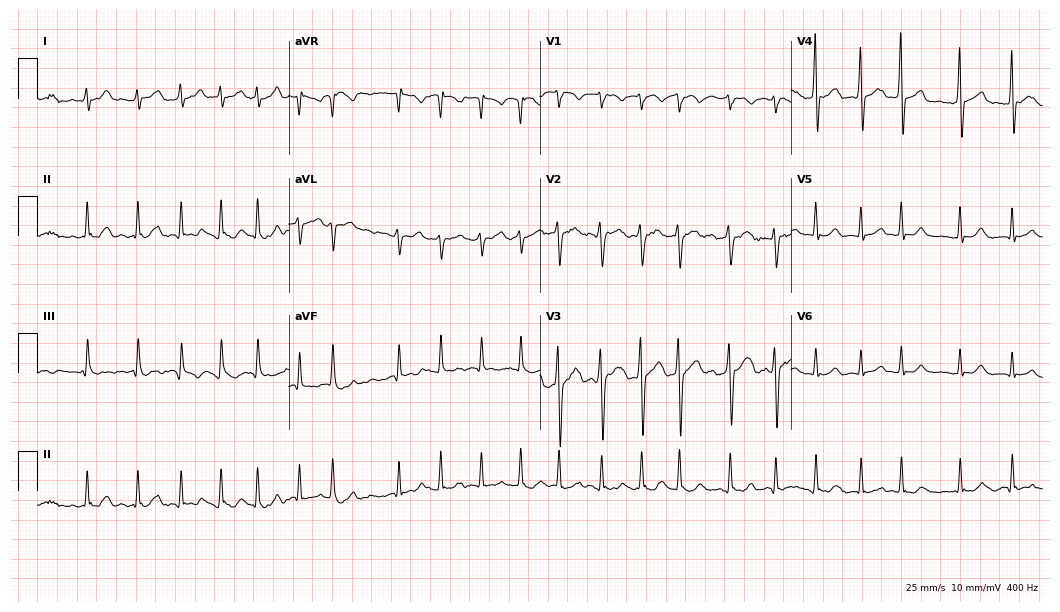
Standard 12-lead ECG recorded from a male patient, 59 years old. The tracing shows atrial fibrillation.